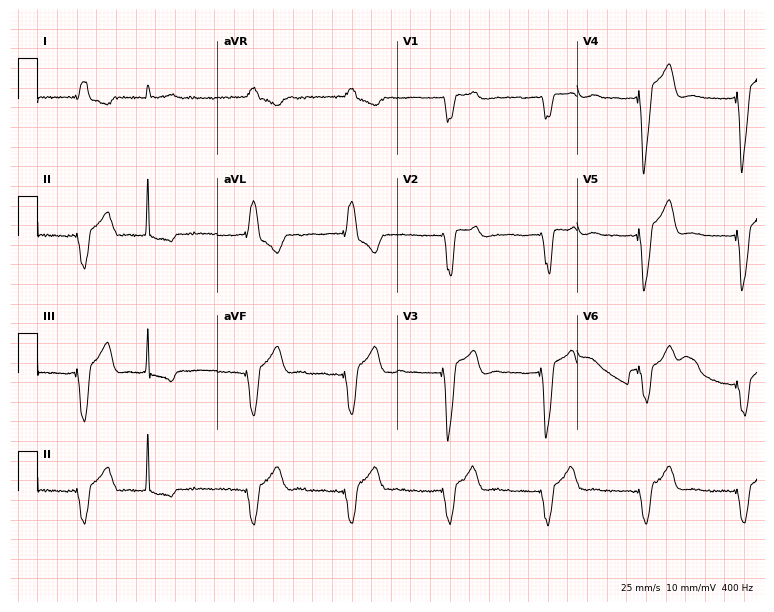
ECG — a female patient, 81 years old. Screened for six findings — first-degree AV block, right bundle branch block (RBBB), left bundle branch block (LBBB), sinus bradycardia, atrial fibrillation (AF), sinus tachycardia — none is recorded. Other findings, if any, are not listed.